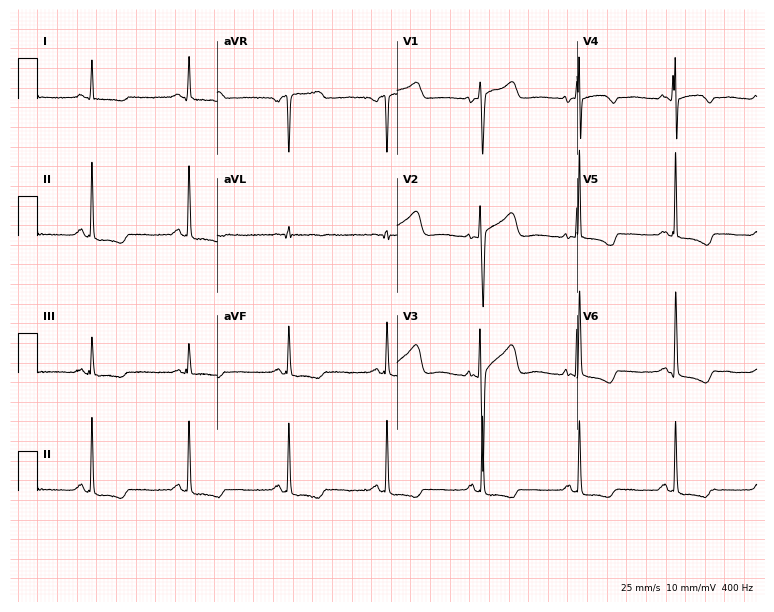
ECG (7.3-second recording at 400 Hz) — a woman, 55 years old. Screened for six findings — first-degree AV block, right bundle branch block (RBBB), left bundle branch block (LBBB), sinus bradycardia, atrial fibrillation (AF), sinus tachycardia — none is recorded. Only these six findings were labelled.